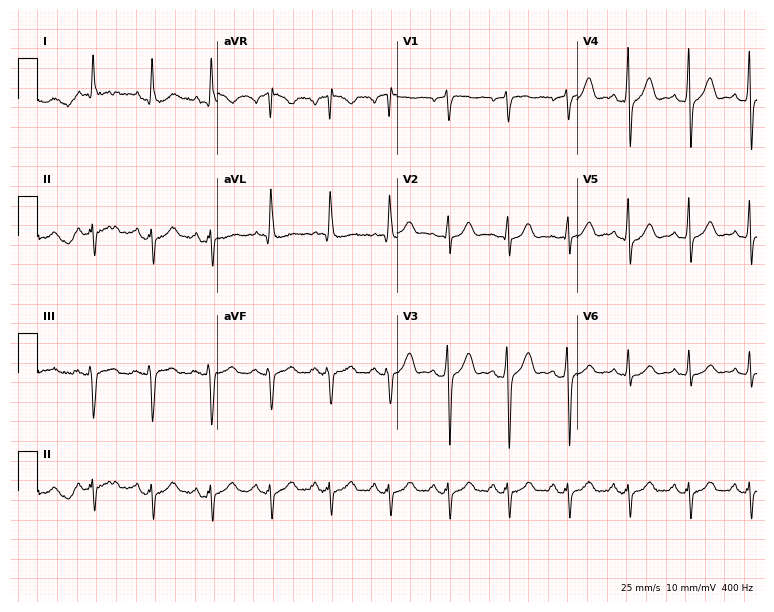
12-lead ECG from a 62-year-old man. Screened for six findings — first-degree AV block, right bundle branch block, left bundle branch block, sinus bradycardia, atrial fibrillation, sinus tachycardia — none is recorded.